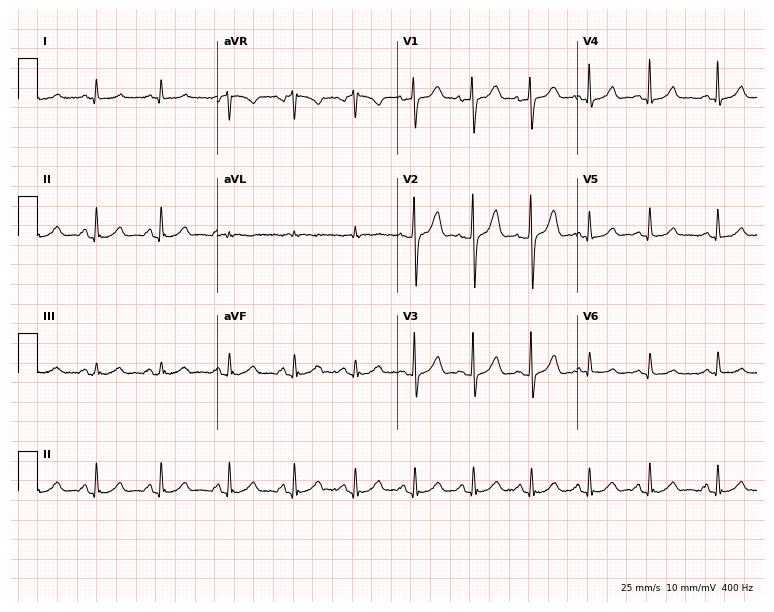
12-lead ECG from a 41-year-old male patient. Labelled as a normal ECG.